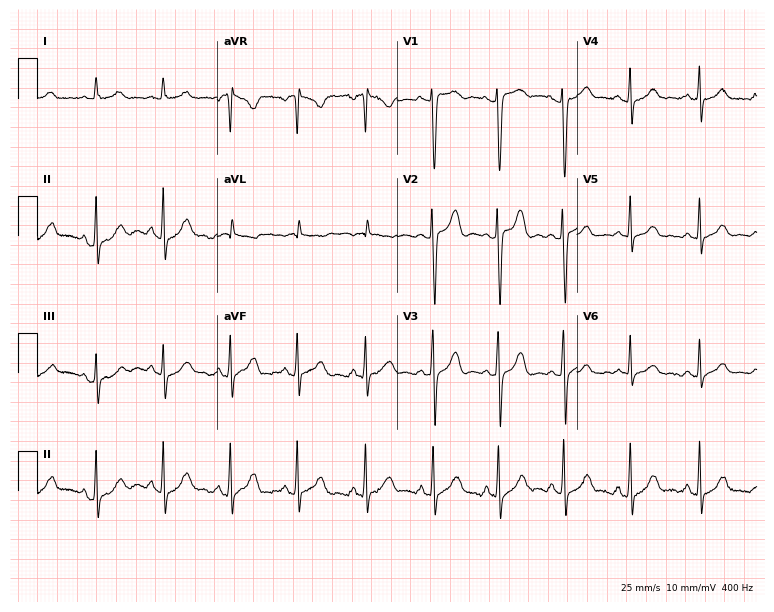
Standard 12-lead ECG recorded from a woman, 30 years old (7.3-second recording at 400 Hz). Read as a normal ECG.